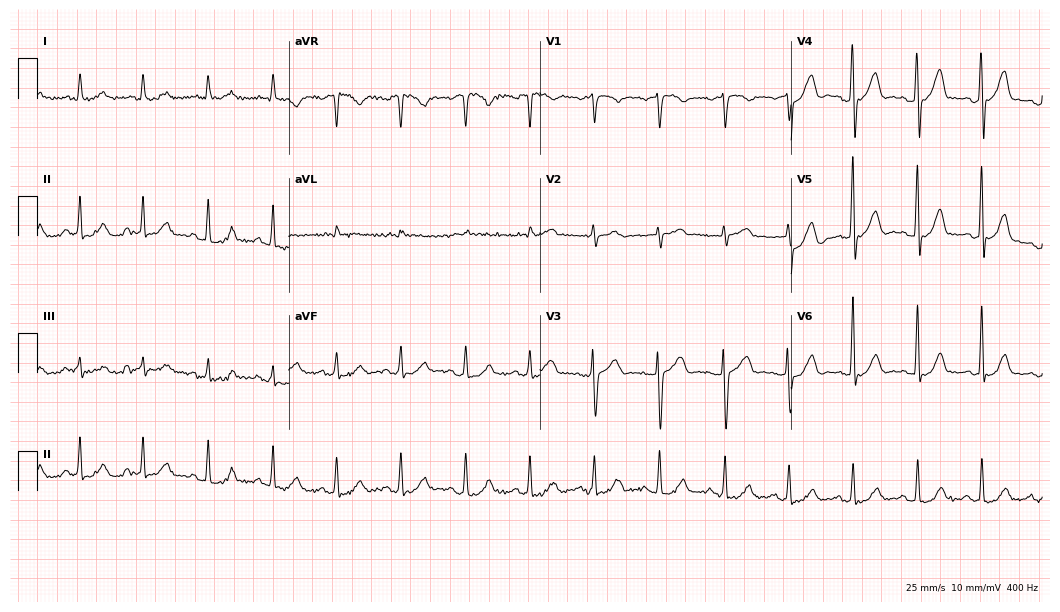
ECG (10.2-second recording at 400 Hz) — a female, 80 years old. Labelled as a normal ECG.